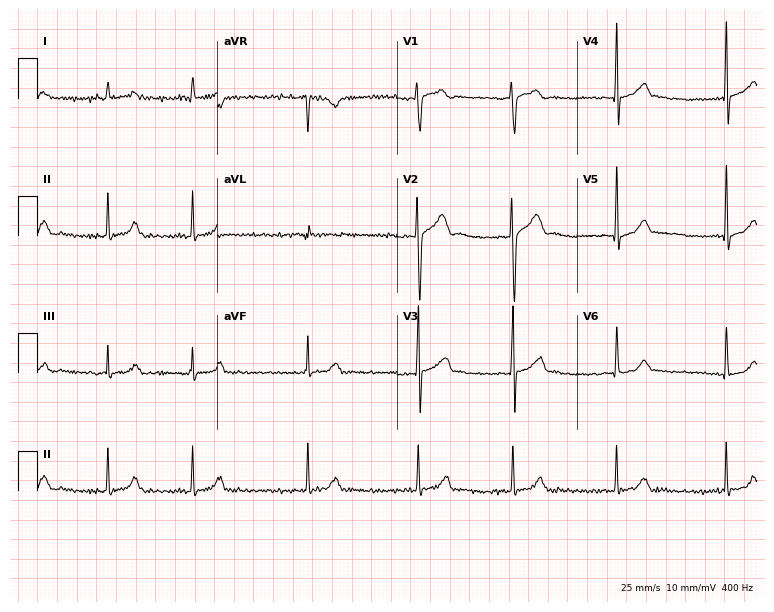
Electrocardiogram (7.3-second recording at 400 Hz), a 27-year-old male. Overall reading on record: normal ECG.